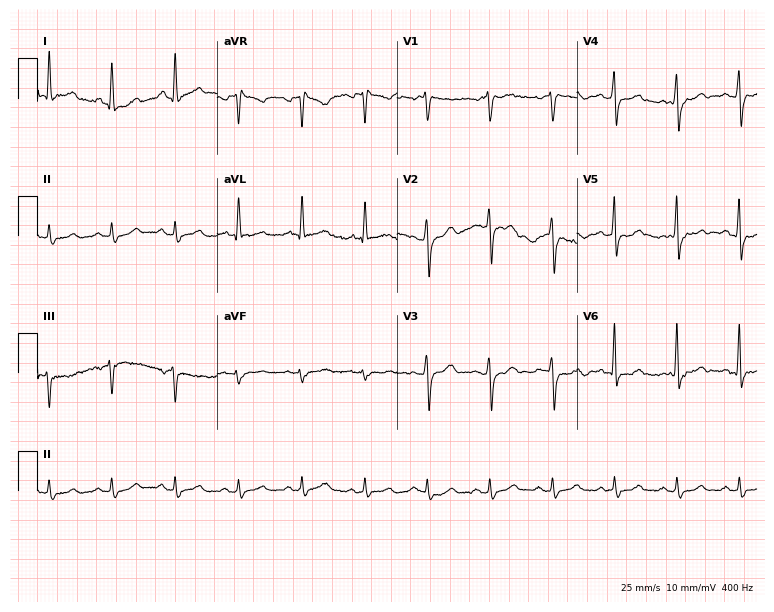
Electrocardiogram (7.3-second recording at 400 Hz), a 54-year-old man. Overall reading on record: normal ECG.